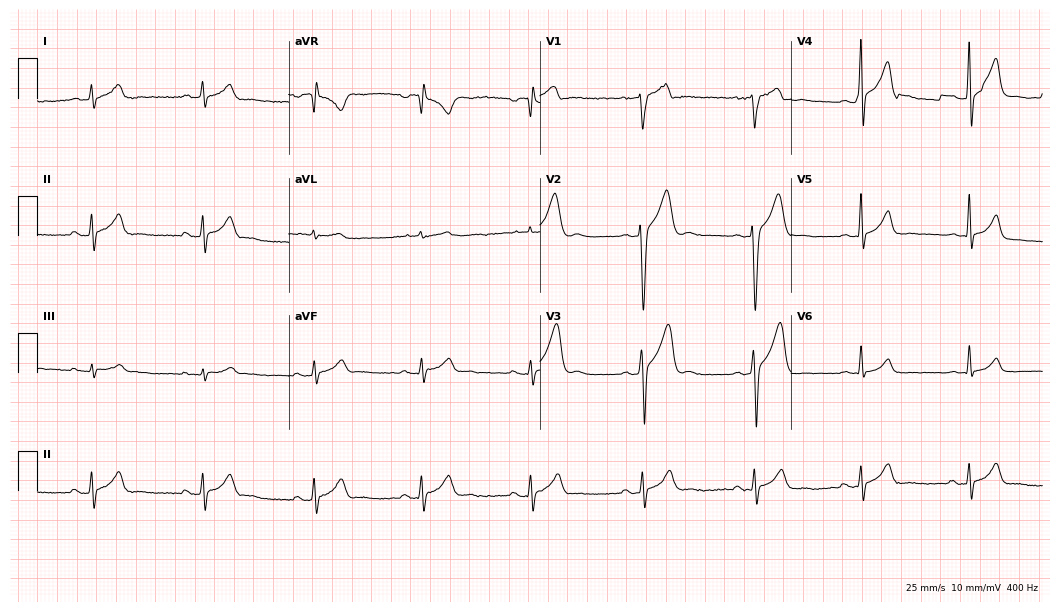
Resting 12-lead electrocardiogram. Patient: a male, 33 years old. None of these six findings is recorded: first-degree AV block, right bundle branch block, left bundle branch block, sinus bradycardia, atrial fibrillation, sinus tachycardia.